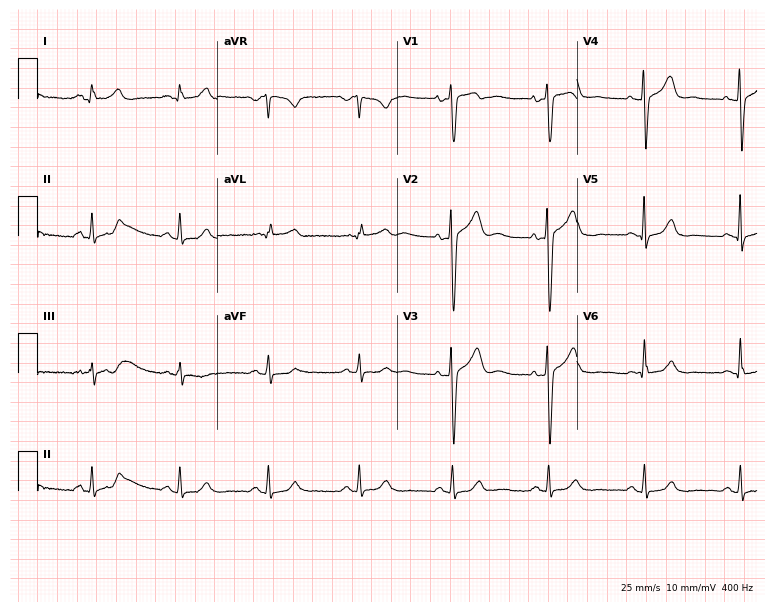
Resting 12-lead electrocardiogram. Patient: a male, 47 years old. Read as a normal ECG.